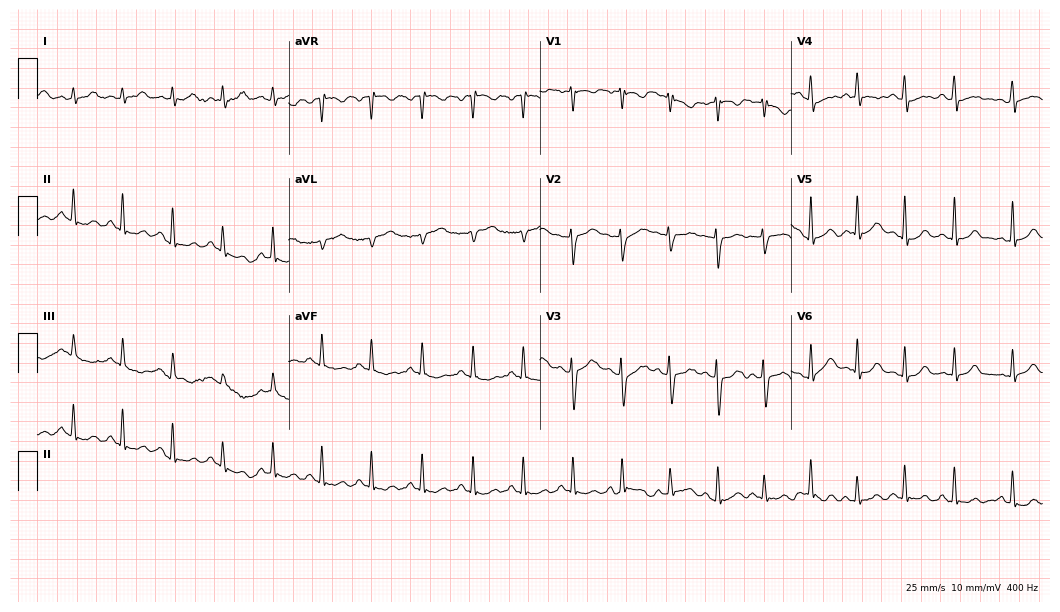
ECG (10.2-second recording at 400 Hz) — a female, 26 years old. Findings include sinus tachycardia (a sinus rate of 100 beats per minute or more).